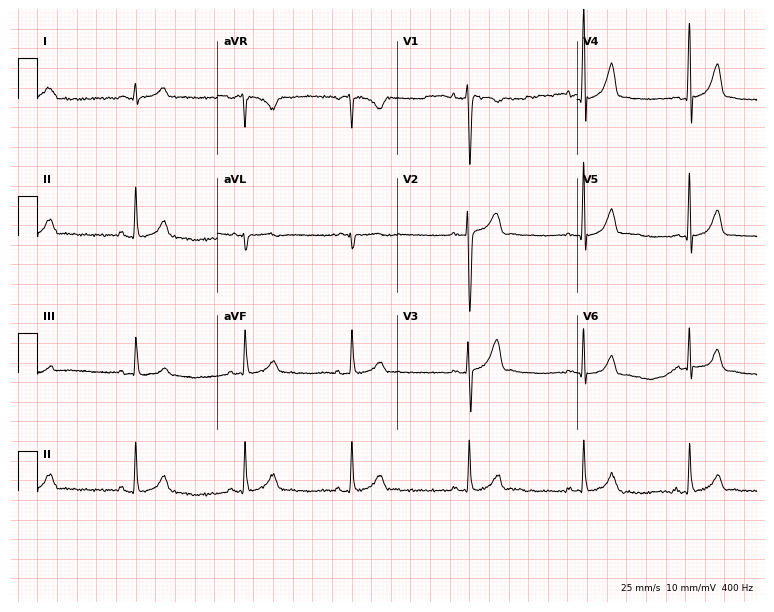
12-lead ECG from a male, 31 years old. Labelled as a normal ECG.